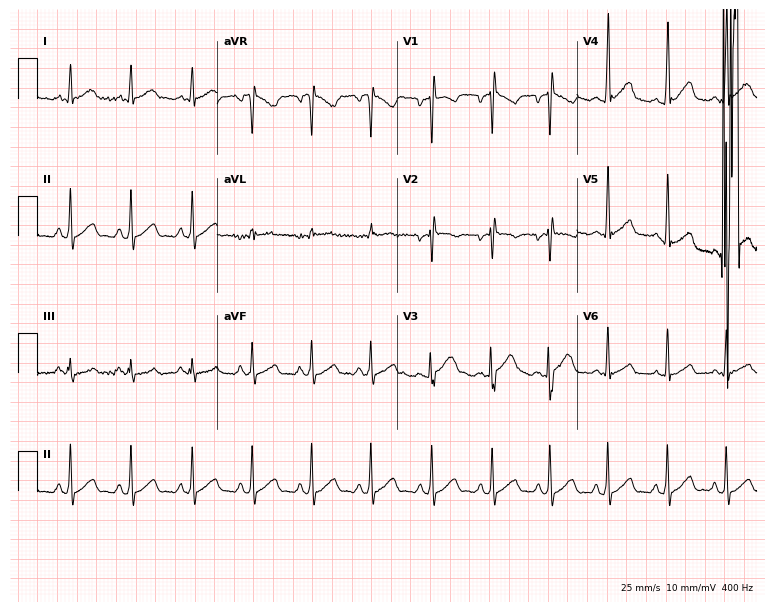
Electrocardiogram, a man, 28 years old. Of the six screened findings (first-degree AV block, right bundle branch block (RBBB), left bundle branch block (LBBB), sinus bradycardia, atrial fibrillation (AF), sinus tachycardia), none is recorded.